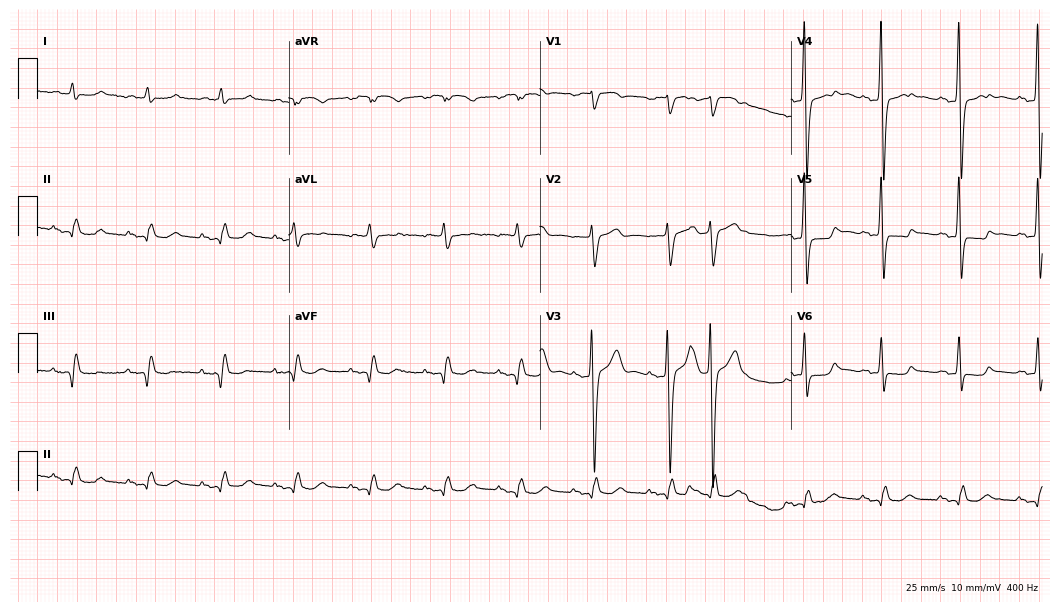
ECG (10.2-second recording at 400 Hz) — an 85-year-old male. Screened for six findings — first-degree AV block, right bundle branch block (RBBB), left bundle branch block (LBBB), sinus bradycardia, atrial fibrillation (AF), sinus tachycardia — none is recorded.